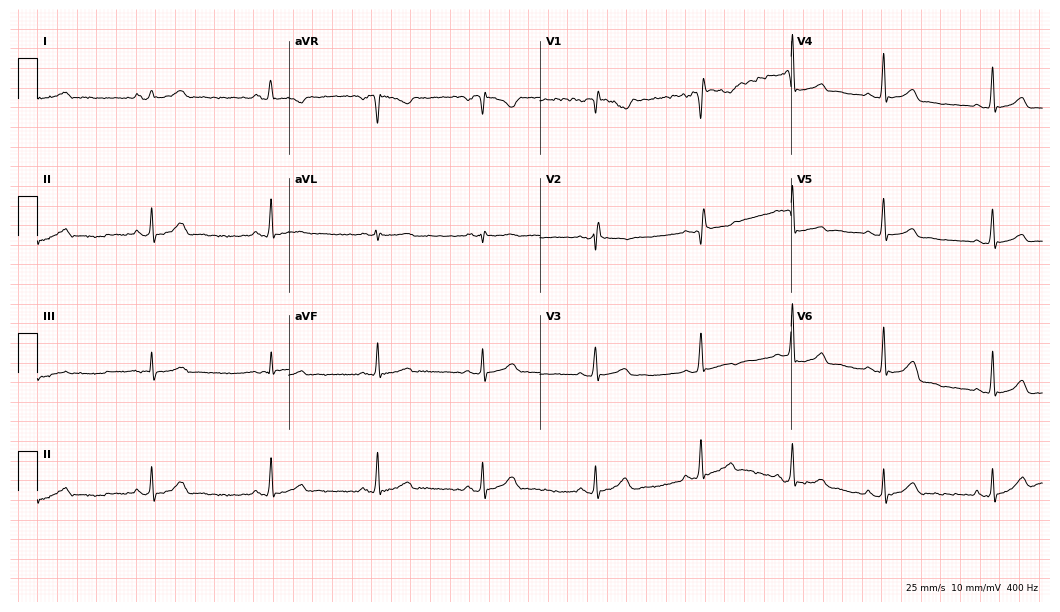
Standard 12-lead ECG recorded from a female patient, 27 years old. None of these six findings is recorded: first-degree AV block, right bundle branch block, left bundle branch block, sinus bradycardia, atrial fibrillation, sinus tachycardia. Only these six findings were labelled.